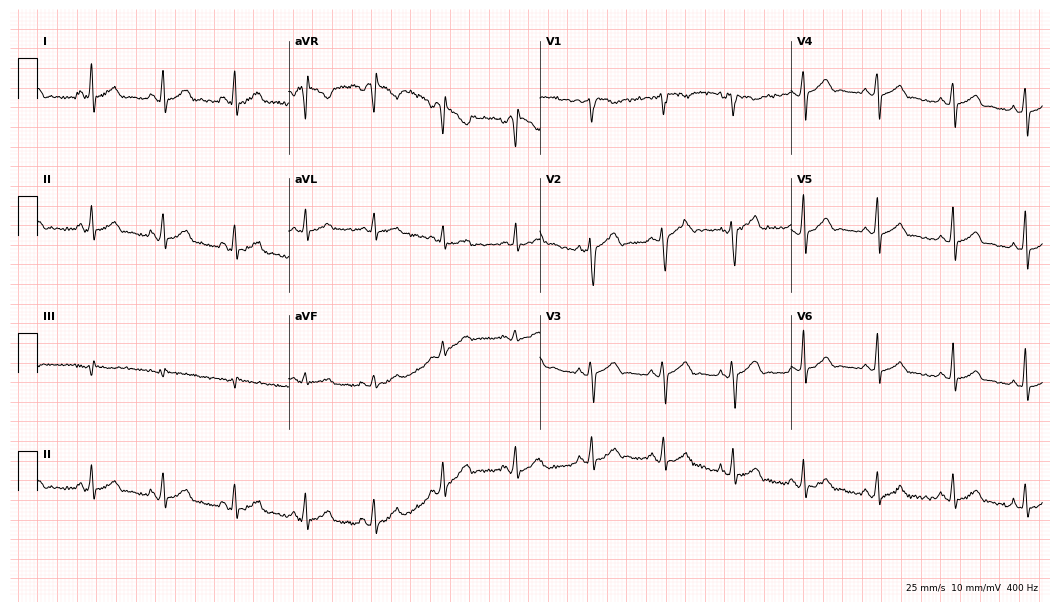
12-lead ECG (10.2-second recording at 400 Hz) from a woman, 30 years old. Labelled as a normal ECG.